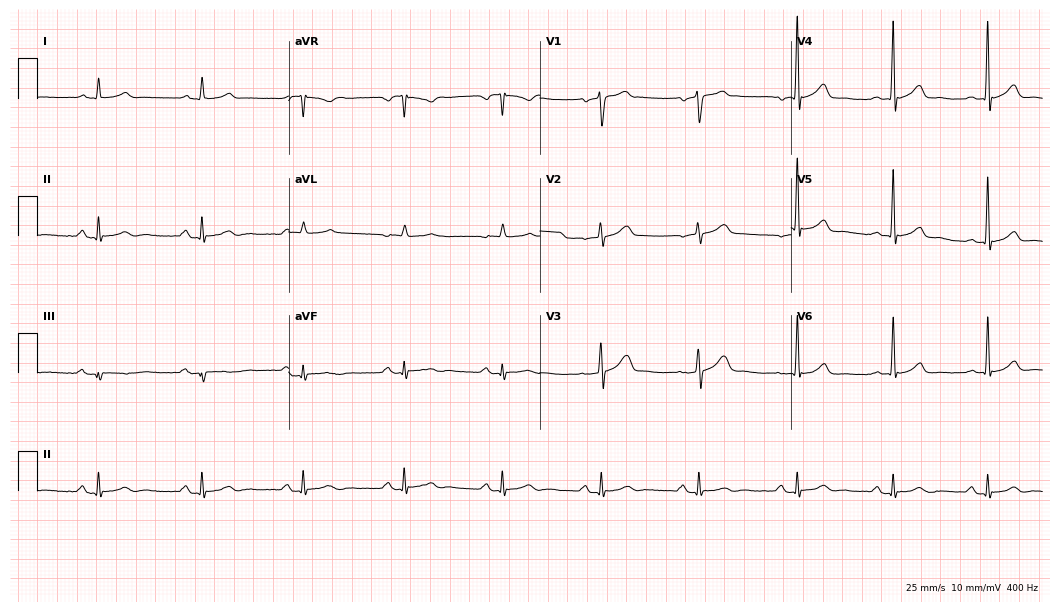
Electrocardiogram (10.2-second recording at 400 Hz), a male patient, 62 years old. Overall reading on record: normal ECG.